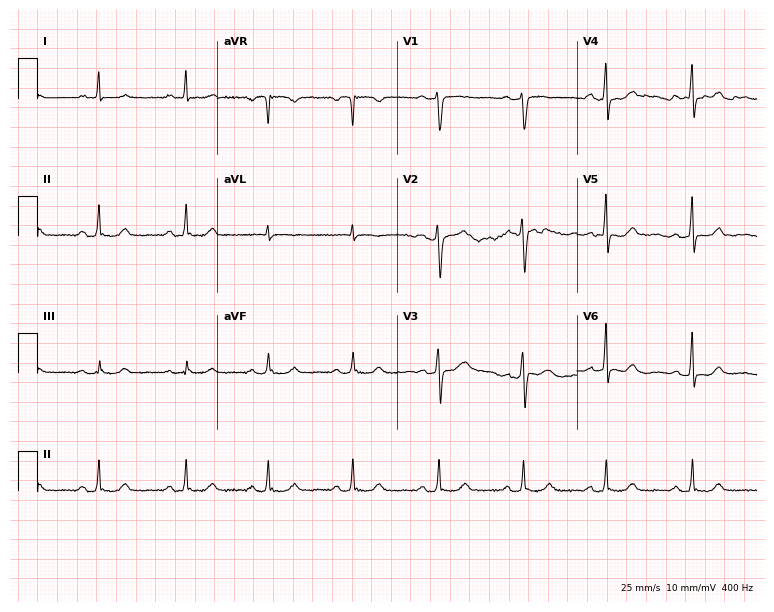
Resting 12-lead electrocardiogram. Patient: a woman, 56 years old. None of these six findings is recorded: first-degree AV block, right bundle branch block, left bundle branch block, sinus bradycardia, atrial fibrillation, sinus tachycardia. Only these six findings were labelled.